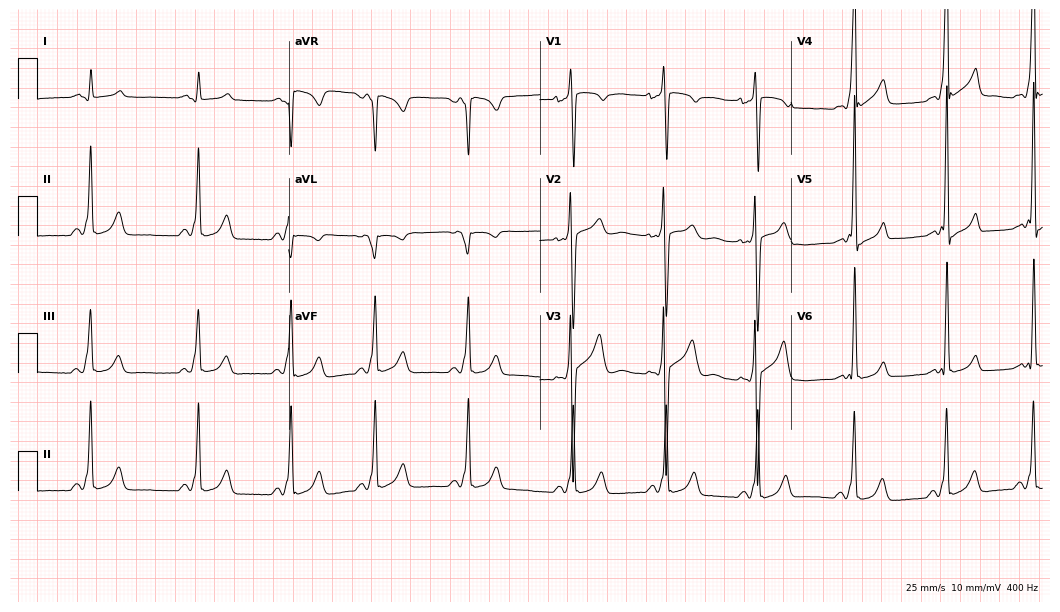
Standard 12-lead ECG recorded from a male patient, 22 years old (10.2-second recording at 400 Hz). None of these six findings is recorded: first-degree AV block, right bundle branch block, left bundle branch block, sinus bradycardia, atrial fibrillation, sinus tachycardia. Only these six findings were labelled.